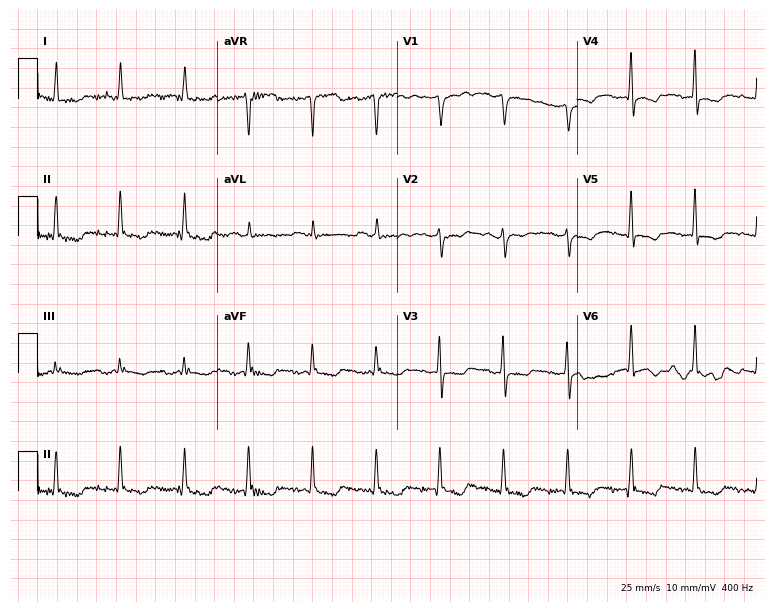
12-lead ECG from a 61-year-old female patient. No first-degree AV block, right bundle branch block (RBBB), left bundle branch block (LBBB), sinus bradycardia, atrial fibrillation (AF) or sinus tachycardia recorded for this tracing.